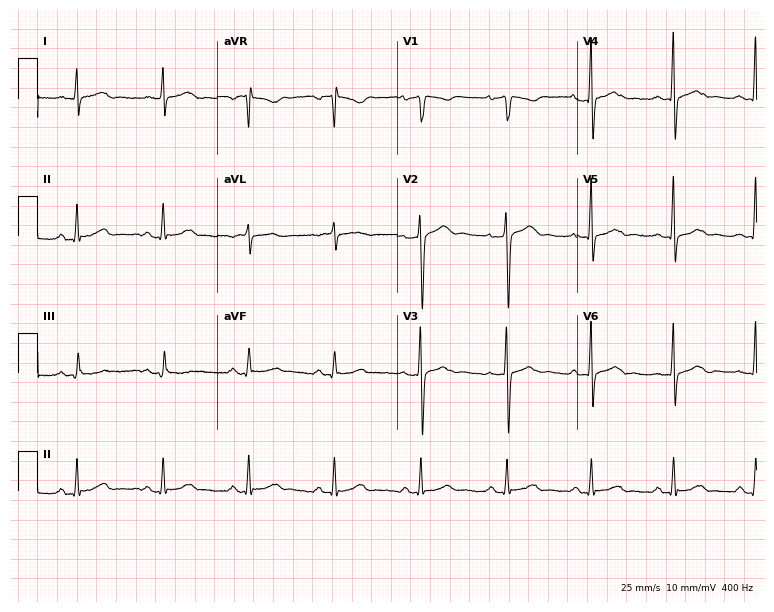
ECG (7.3-second recording at 400 Hz) — a 44-year-old male patient. Screened for six findings — first-degree AV block, right bundle branch block (RBBB), left bundle branch block (LBBB), sinus bradycardia, atrial fibrillation (AF), sinus tachycardia — none is recorded.